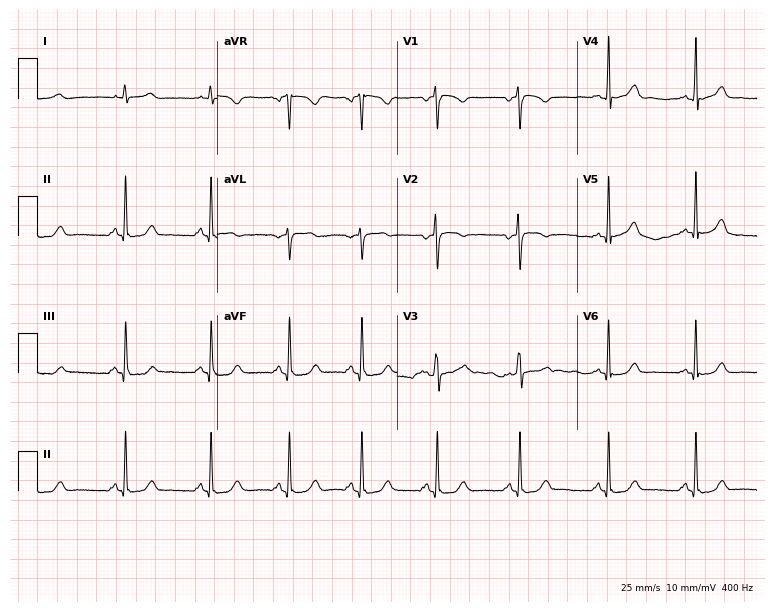
12-lead ECG (7.3-second recording at 400 Hz) from a 36-year-old woman. Labelled as a normal ECG.